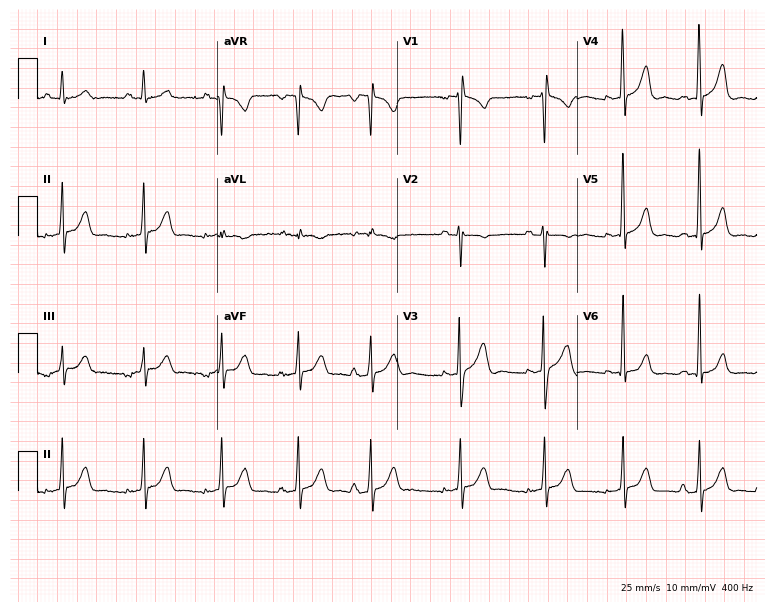
Resting 12-lead electrocardiogram. Patient: a male, 31 years old. None of these six findings is recorded: first-degree AV block, right bundle branch block (RBBB), left bundle branch block (LBBB), sinus bradycardia, atrial fibrillation (AF), sinus tachycardia. Only these six findings were labelled.